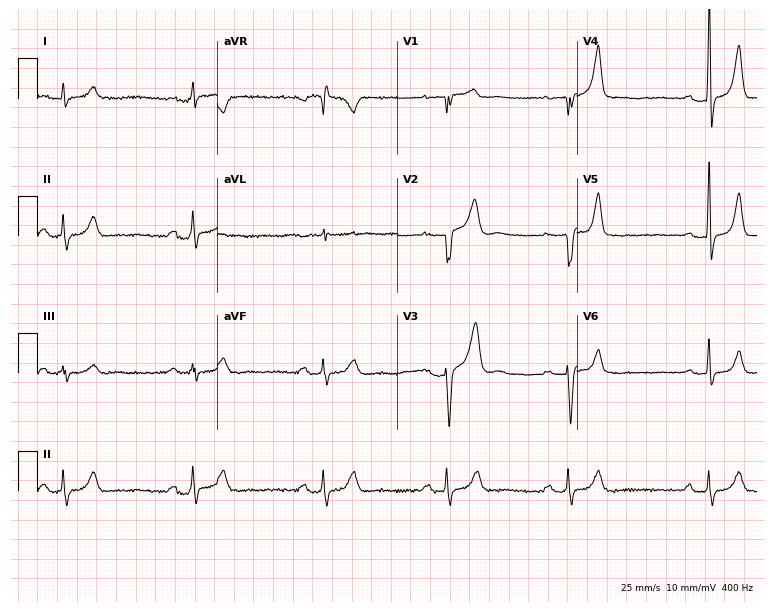
Electrocardiogram (7.3-second recording at 400 Hz), a 63-year-old male patient. Interpretation includes first-degree AV block, sinus bradycardia (a sinus rate of 50 beats per minute or less).